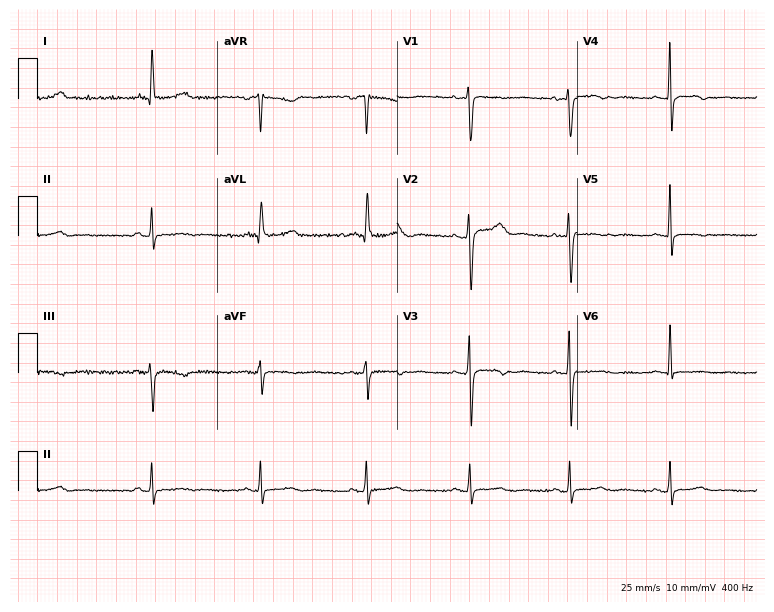
Resting 12-lead electrocardiogram (7.3-second recording at 400 Hz). Patient: a female, 52 years old. None of these six findings is recorded: first-degree AV block, right bundle branch block, left bundle branch block, sinus bradycardia, atrial fibrillation, sinus tachycardia.